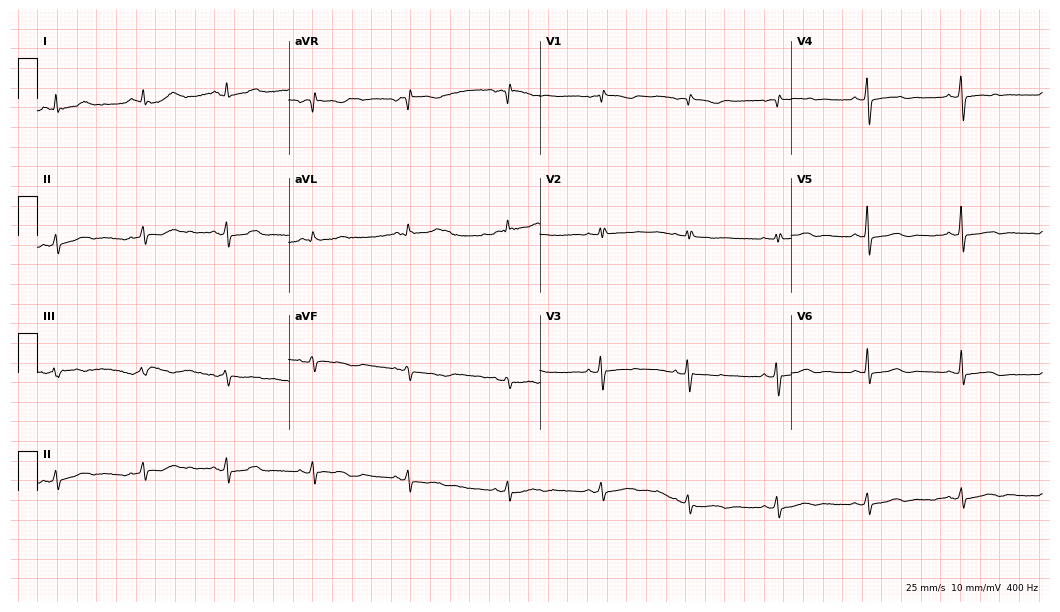
ECG (10.2-second recording at 400 Hz) — a 43-year-old female. Screened for six findings — first-degree AV block, right bundle branch block (RBBB), left bundle branch block (LBBB), sinus bradycardia, atrial fibrillation (AF), sinus tachycardia — none is recorded. Only these six findings were labelled.